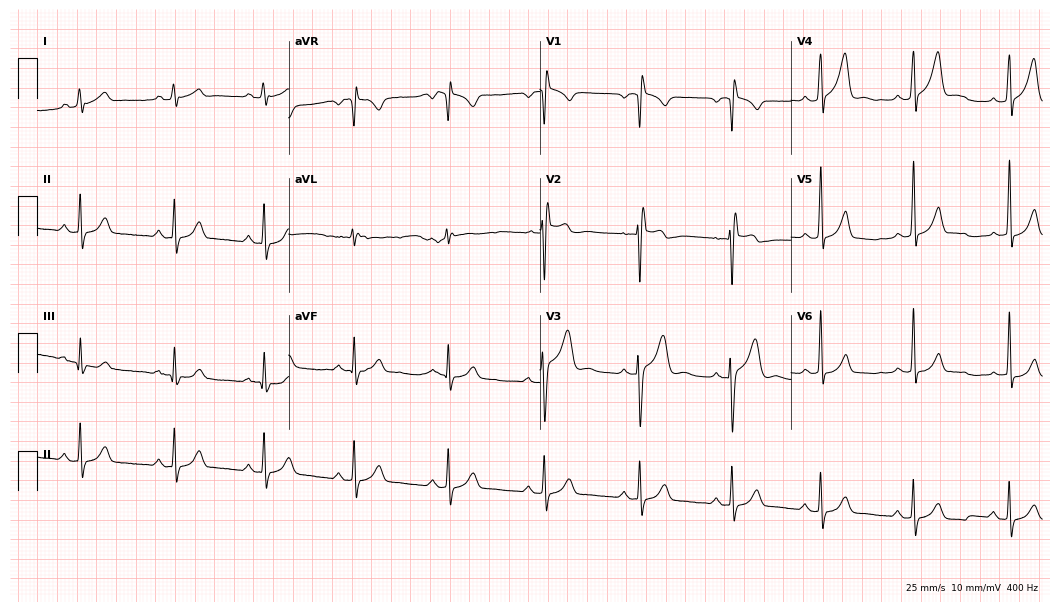
Electrocardiogram, a man, 39 years old. Of the six screened findings (first-degree AV block, right bundle branch block (RBBB), left bundle branch block (LBBB), sinus bradycardia, atrial fibrillation (AF), sinus tachycardia), none is recorded. Only these six findings were labelled.